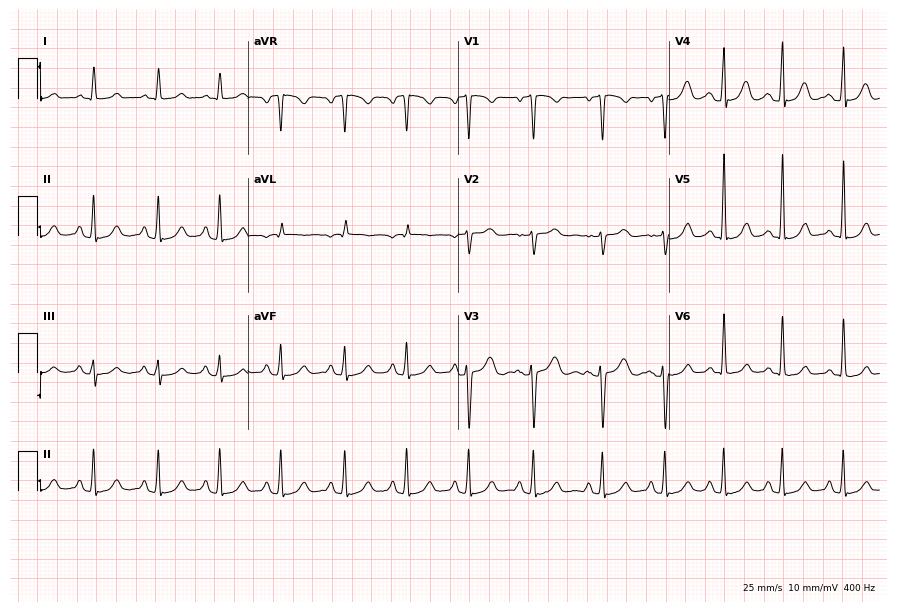
ECG — a 22-year-old woman. Screened for six findings — first-degree AV block, right bundle branch block, left bundle branch block, sinus bradycardia, atrial fibrillation, sinus tachycardia — none is recorded. Only these six findings were labelled.